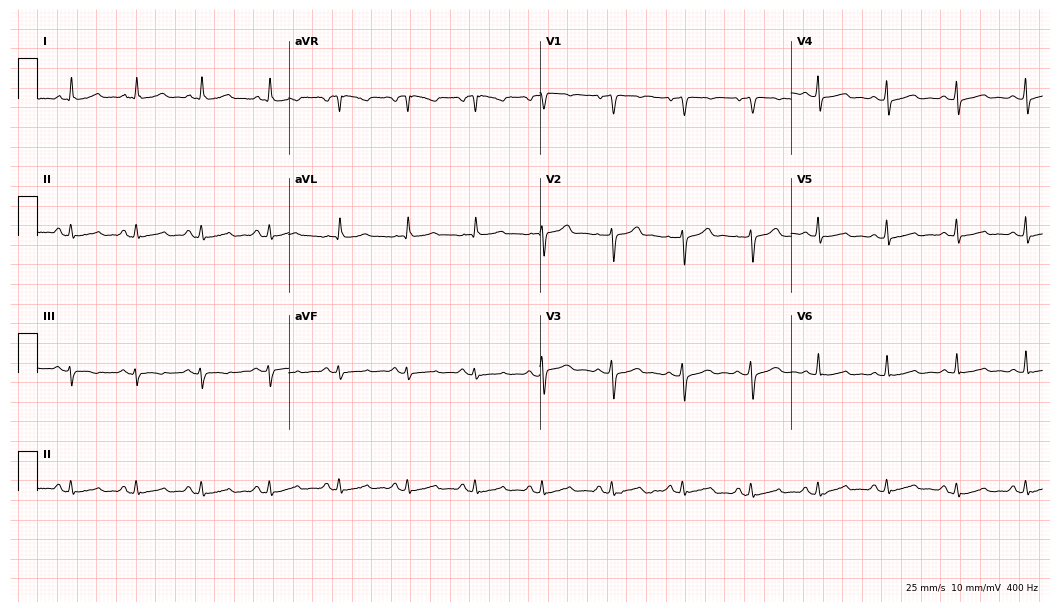
ECG (10.2-second recording at 400 Hz) — a 59-year-old female patient. Screened for six findings — first-degree AV block, right bundle branch block (RBBB), left bundle branch block (LBBB), sinus bradycardia, atrial fibrillation (AF), sinus tachycardia — none is recorded.